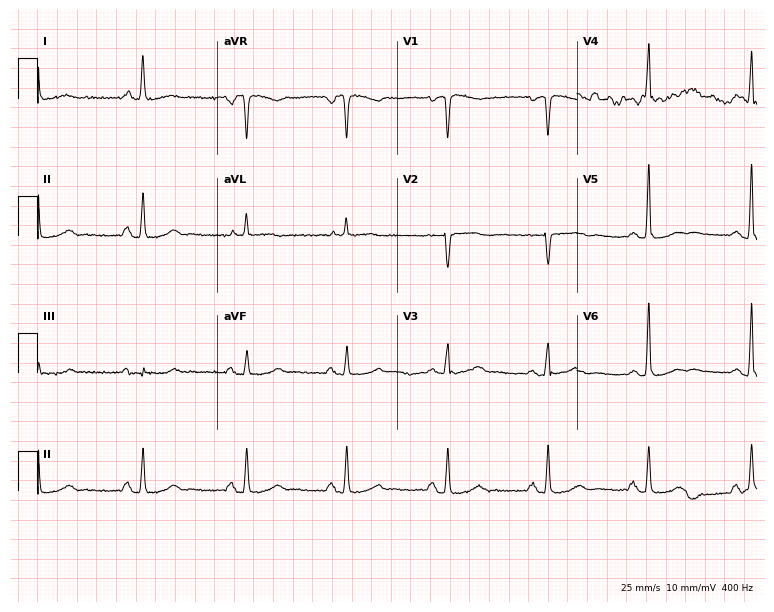
ECG — a female patient, 84 years old. Labelled as a normal ECG.